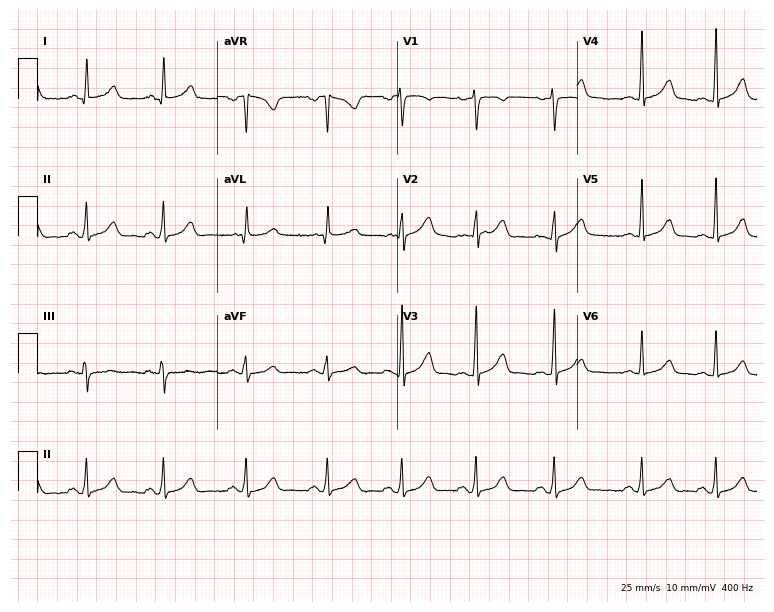
12-lead ECG from a female patient, 32 years old (7.3-second recording at 400 Hz). No first-degree AV block, right bundle branch block (RBBB), left bundle branch block (LBBB), sinus bradycardia, atrial fibrillation (AF) or sinus tachycardia recorded for this tracing.